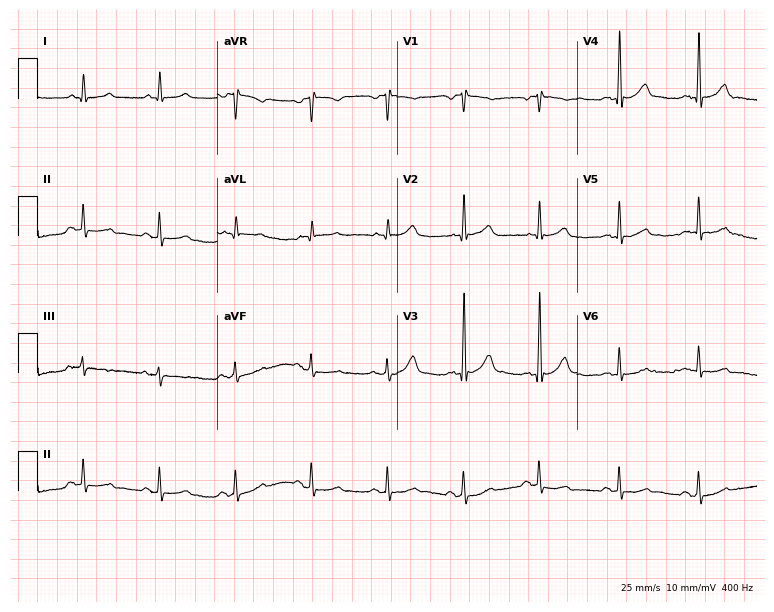
Standard 12-lead ECG recorded from a male, 72 years old. Read as a normal ECG.